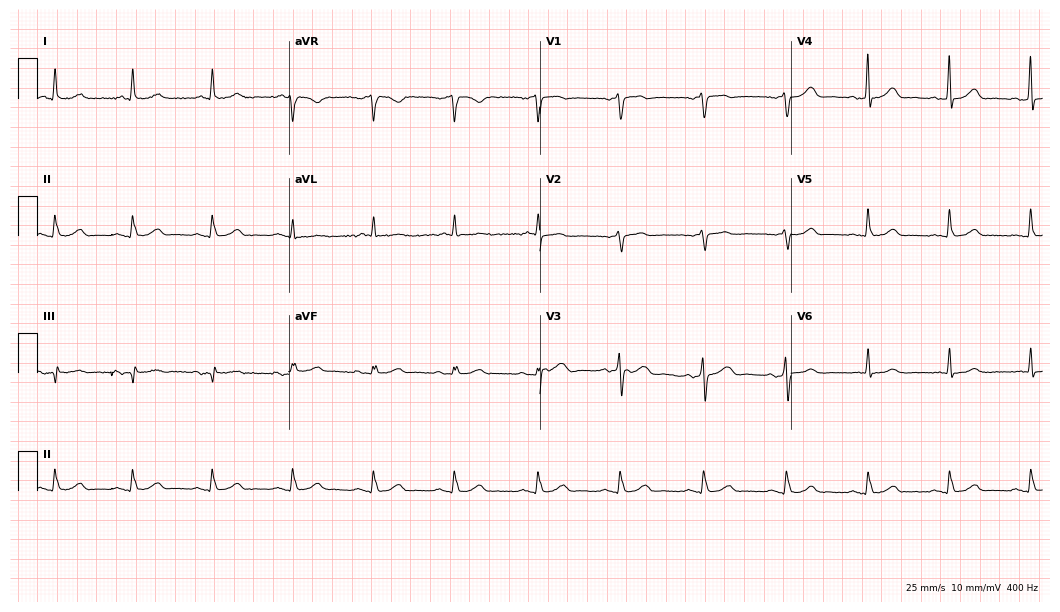
Standard 12-lead ECG recorded from a man, 61 years old. Read as a normal ECG.